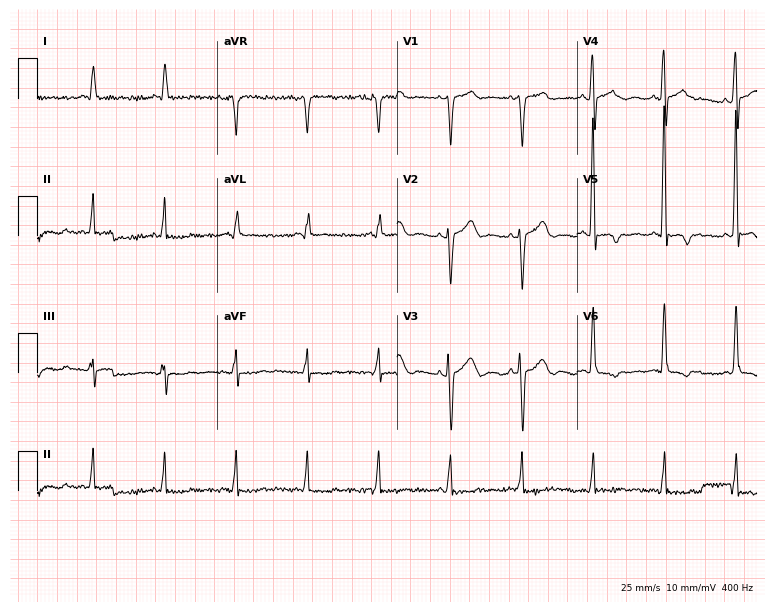
ECG — a male patient, 80 years old. Screened for six findings — first-degree AV block, right bundle branch block, left bundle branch block, sinus bradycardia, atrial fibrillation, sinus tachycardia — none is recorded.